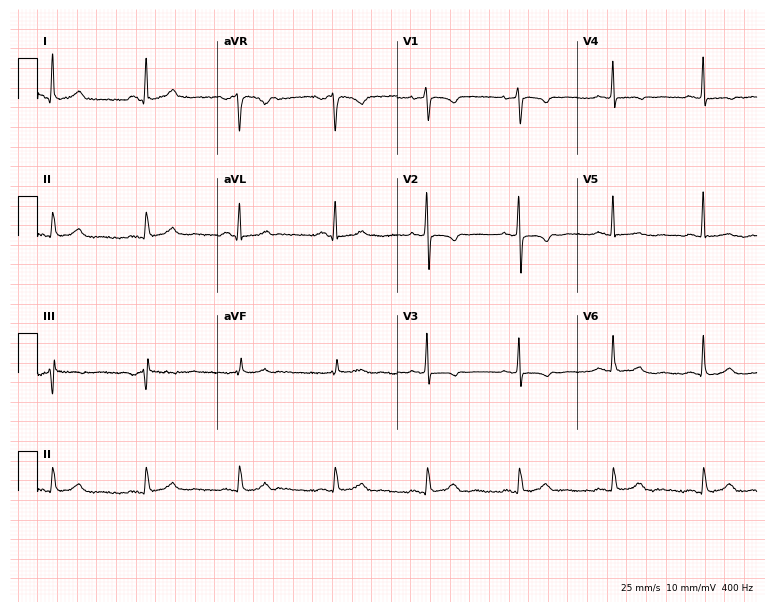
12-lead ECG from a female patient, 54 years old (7.3-second recording at 400 Hz). No first-degree AV block, right bundle branch block, left bundle branch block, sinus bradycardia, atrial fibrillation or sinus tachycardia recorded for this tracing.